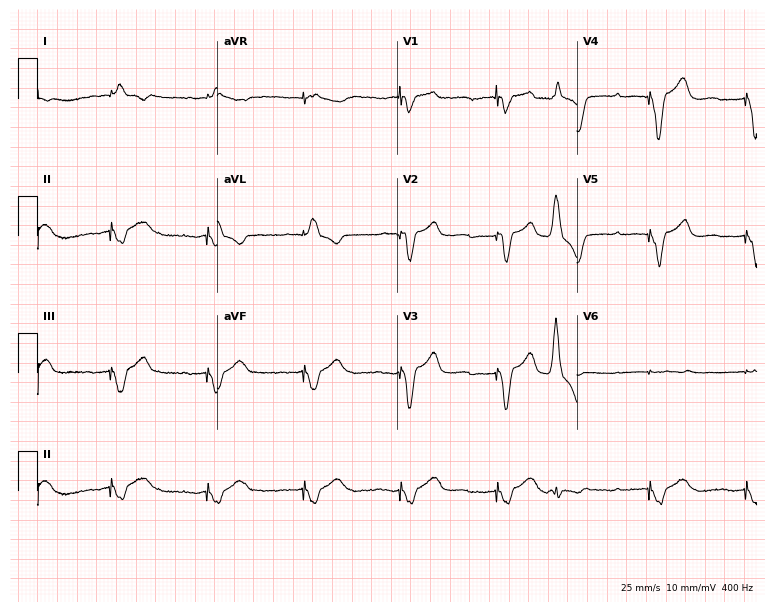
12-lead ECG from a 79-year-old female patient (7.3-second recording at 400 Hz). No first-degree AV block, right bundle branch block (RBBB), left bundle branch block (LBBB), sinus bradycardia, atrial fibrillation (AF) or sinus tachycardia recorded for this tracing.